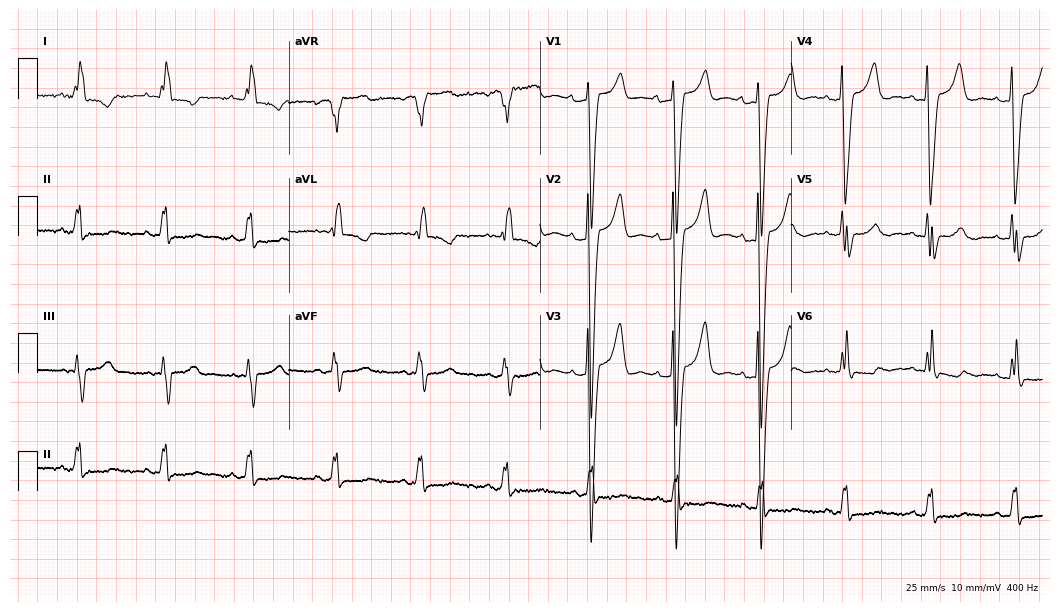
ECG — a woman, 72 years old. Findings include left bundle branch block.